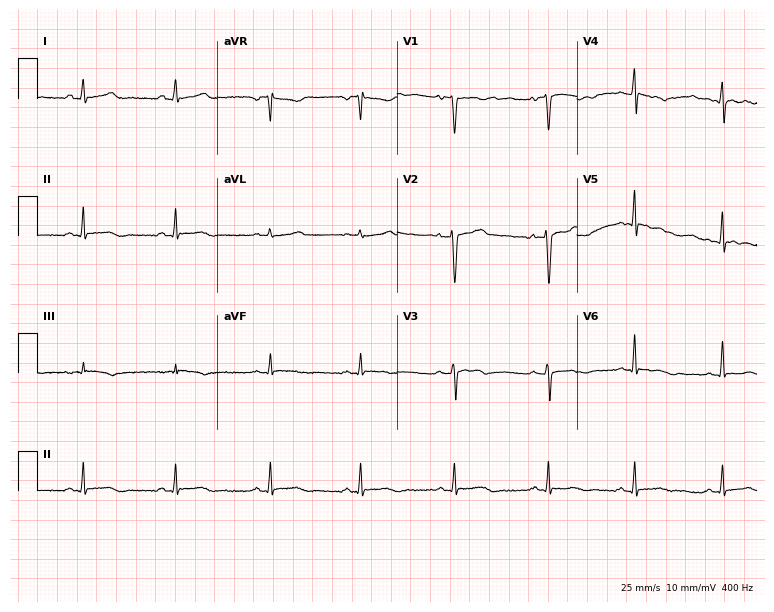
Resting 12-lead electrocardiogram (7.3-second recording at 400 Hz). Patient: a woman, 35 years old. None of these six findings is recorded: first-degree AV block, right bundle branch block (RBBB), left bundle branch block (LBBB), sinus bradycardia, atrial fibrillation (AF), sinus tachycardia.